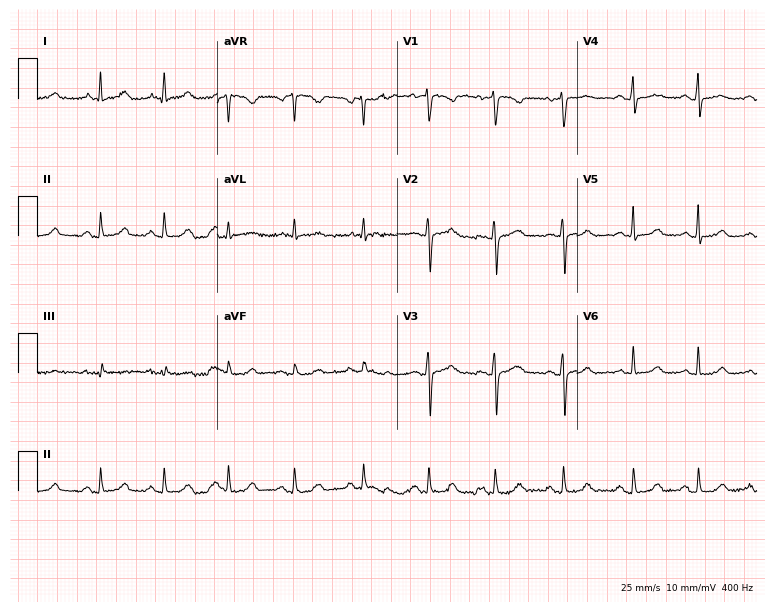
Resting 12-lead electrocardiogram (7.3-second recording at 400 Hz). Patient: a woman, 23 years old. Read as a normal ECG.